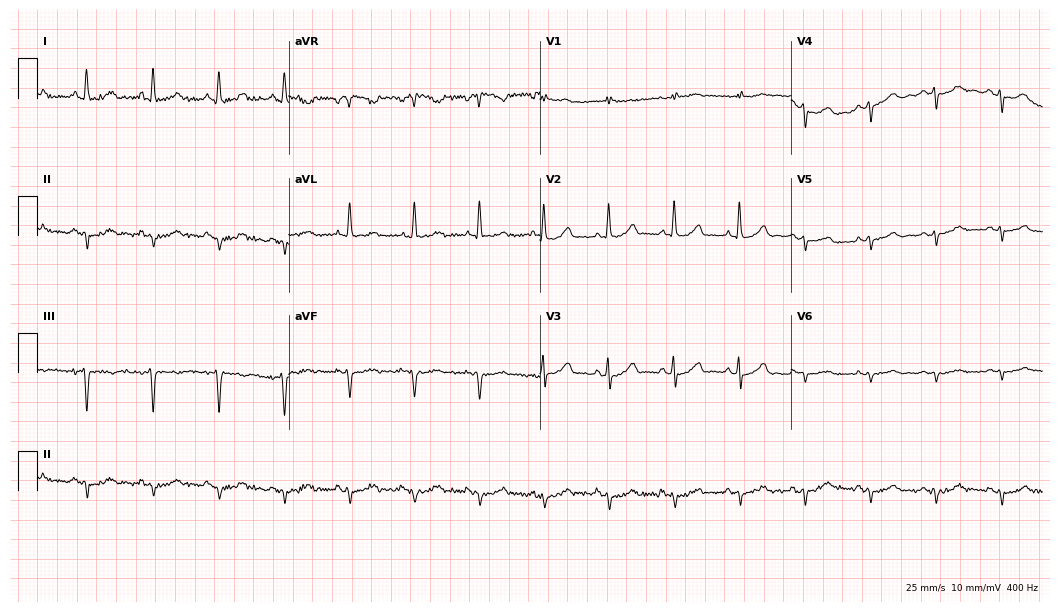
12-lead ECG (10.2-second recording at 400 Hz) from a female, 85 years old. Screened for six findings — first-degree AV block, right bundle branch block, left bundle branch block, sinus bradycardia, atrial fibrillation, sinus tachycardia — none is recorded.